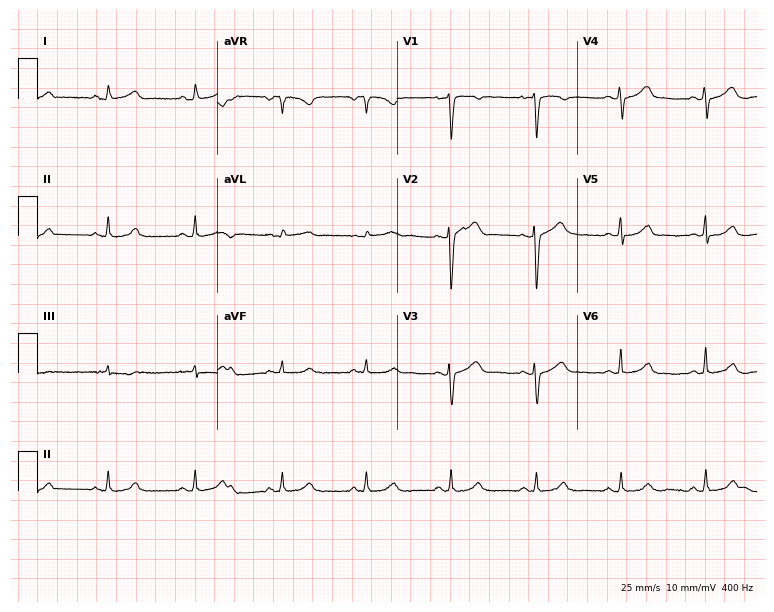
Resting 12-lead electrocardiogram. Patient: a 45-year-old female. Read as a normal ECG.